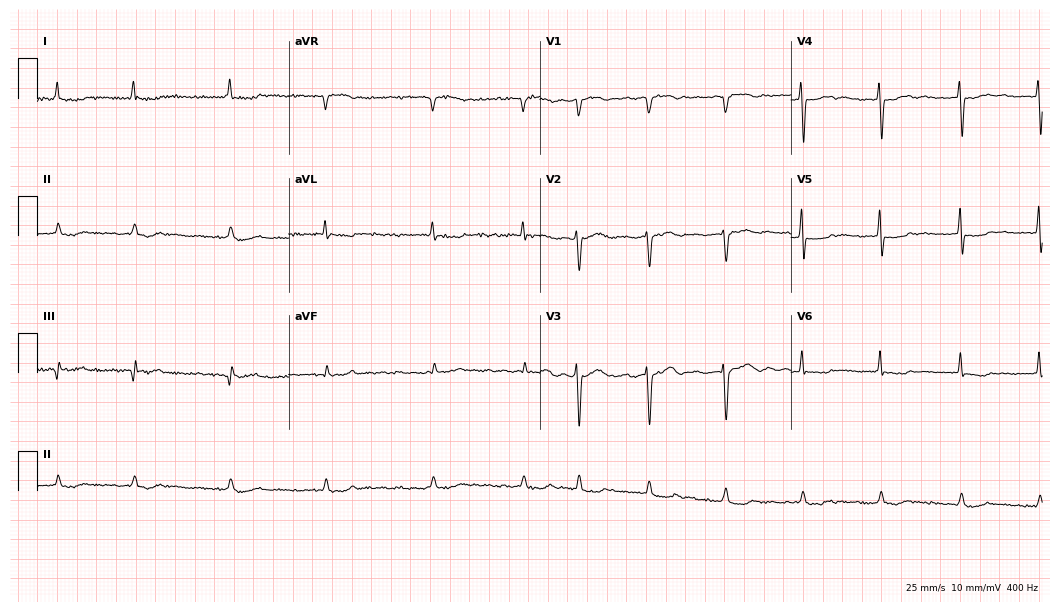
Resting 12-lead electrocardiogram (10.2-second recording at 400 Hz). Patient: an 81-year-old woman. None of these six findings is recorded: first-degree AV block, right bundle branch block, left bundle branch block, sinus bradycardia, atrial fibrillation, sinus tachycardia. Other findings, if any, are not listed.